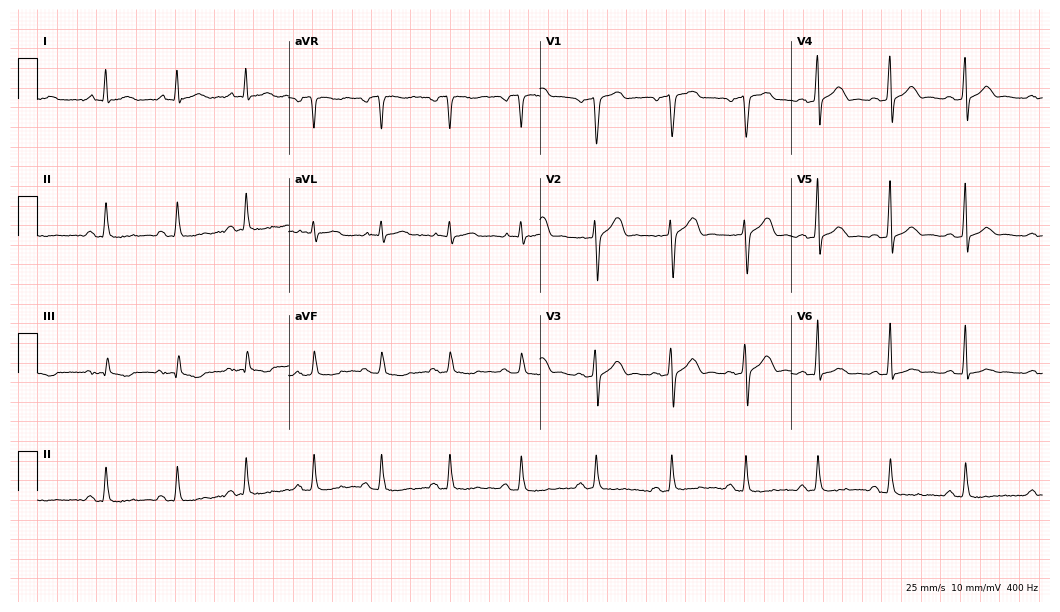
Standard 12-lead ECG recorded from a man, 63 years old. None of these six findings is recorded: first-degree AV block, right bundle branch block (RBBB), left bundle branch block (LBBB), sinus bradycardia, atrial fibrillation (AF), sinus tachycardia.